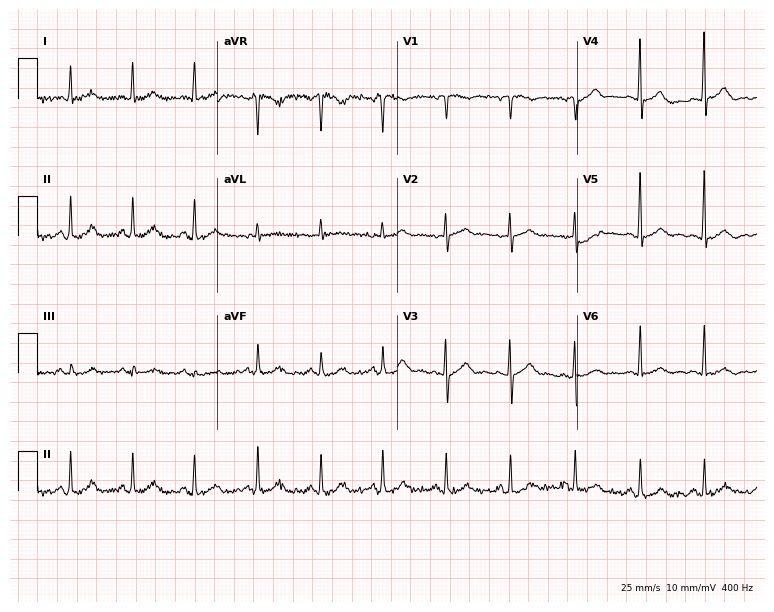
Resting 12-lead electrocardiogram. Patient: a woman, 66 years old. Read as a normal ECG.